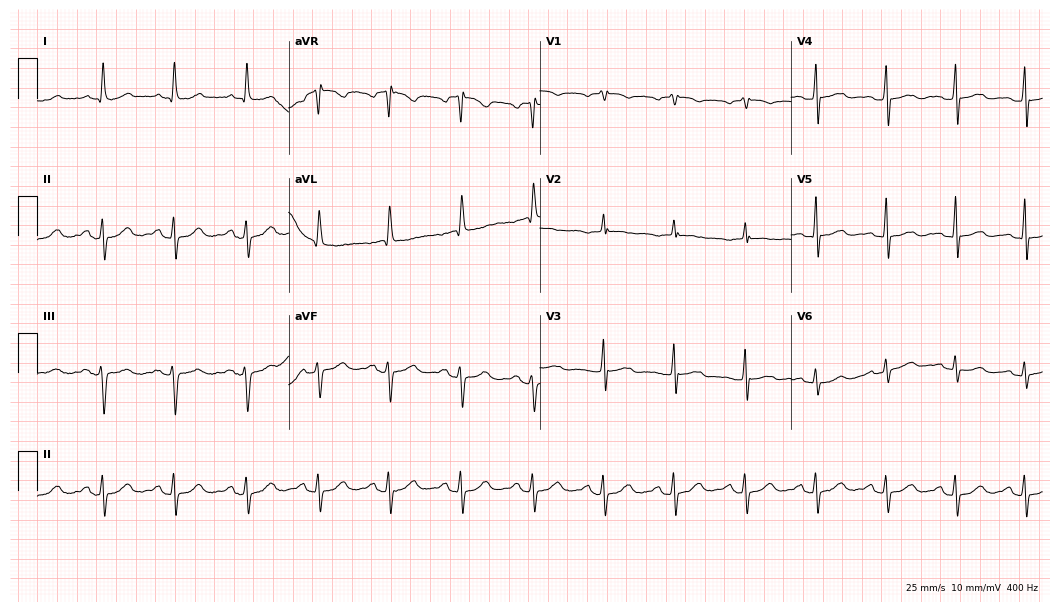
Resting 12-lead electrocardiogram. Patient: a female, 74 years old. None of these six findings is recorded: first-degree AV block, right bundle branch block, left bundle branch block, sinus bradycardia, atrial fibrillation, sinus tachycardia.